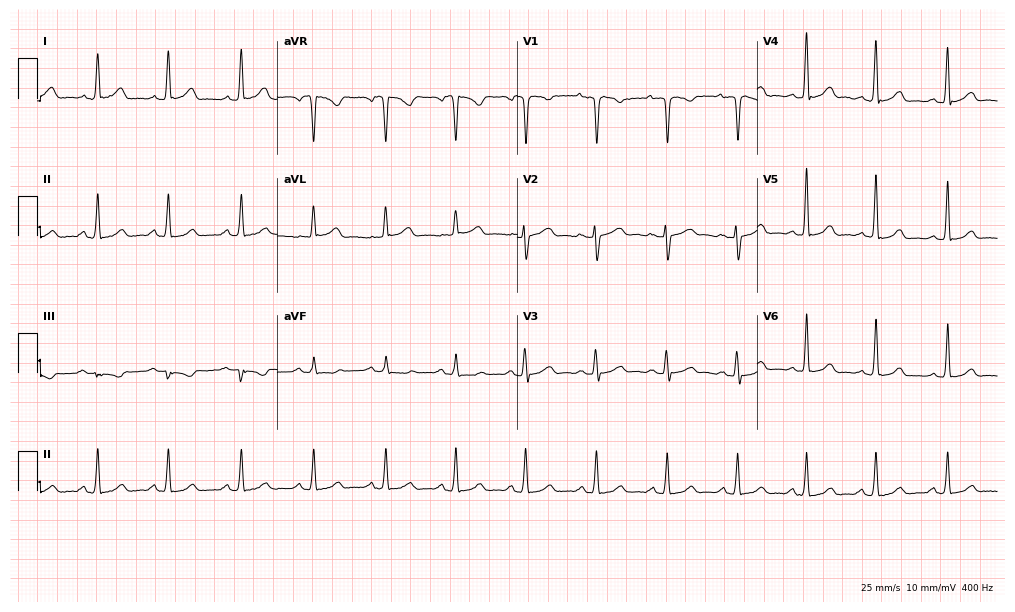
12-lead ECG from a female, 37 years old (9.8-second recording at 400 Hz). Recorded interpretation: within normal limits.